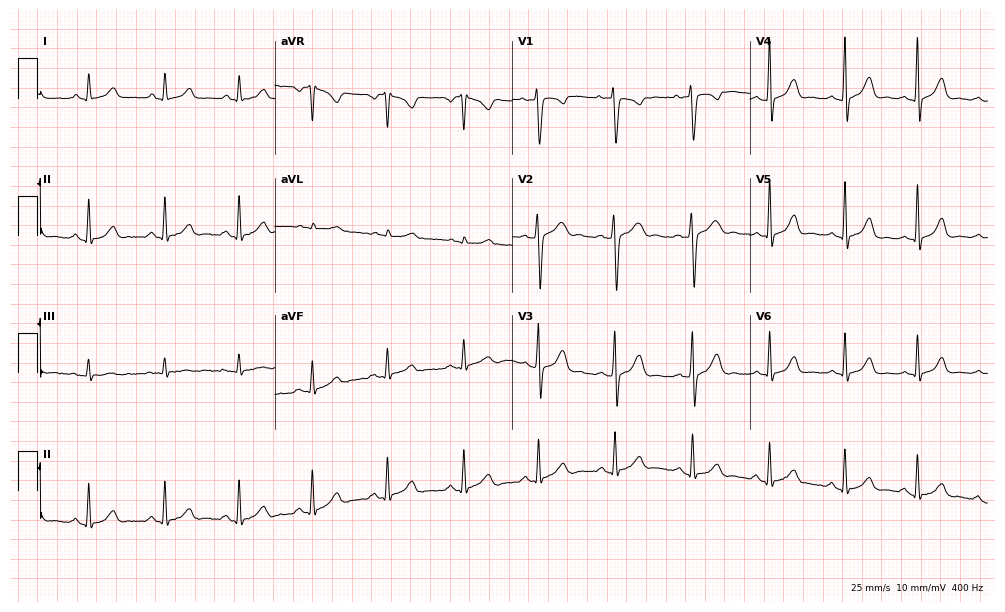
Electrocardiogram (9.7-second recording at 400 Hz), a 26-year-old woman. Overall reading on record: normal ECG.